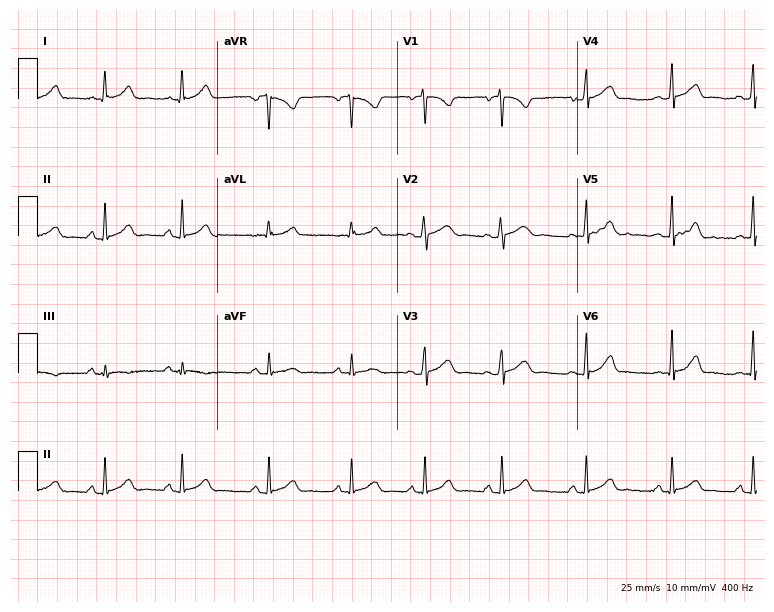
Electrocardiogram (7.3-second recording at 400 Hz), a woman, 26 years old. Overall reading on record: normal ECG.